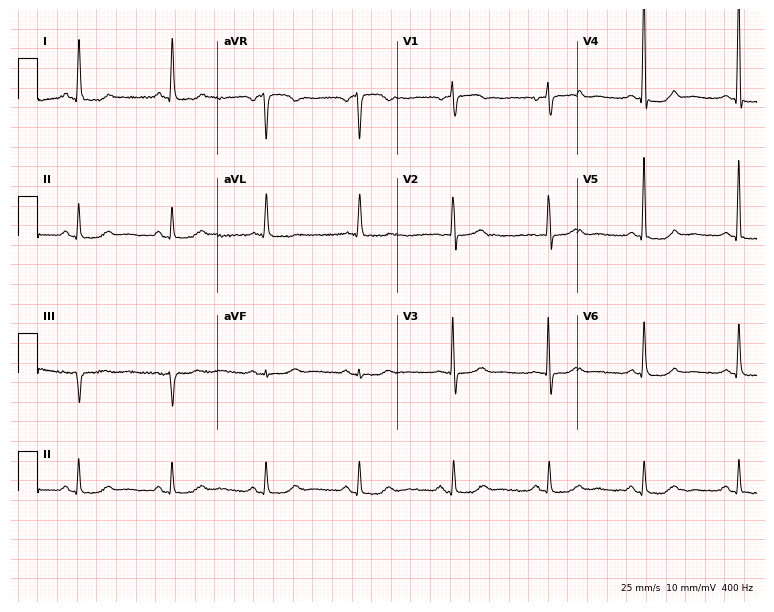
Resting 12-lead electrocardiogram. Patient: a female, 72 years old. None of these six findings is recorded: first-degree AV block, right bundle branch block, left bundle branch block, sinus bradycardia, atrial fibrillation, sinus tachycardia.